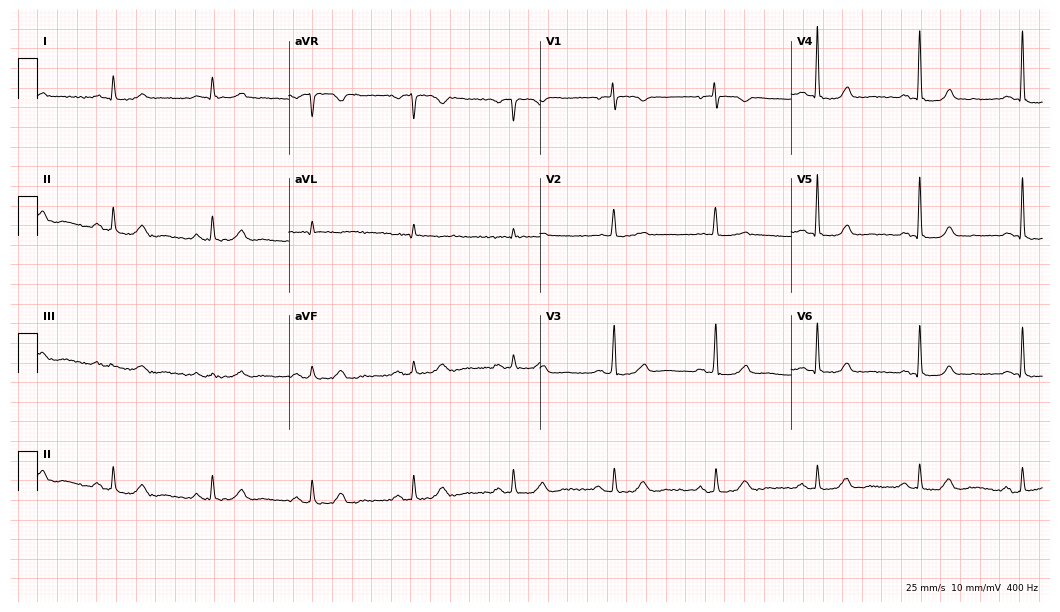
ECG — a woman, 69 years old. Labelled as a normal ECG.